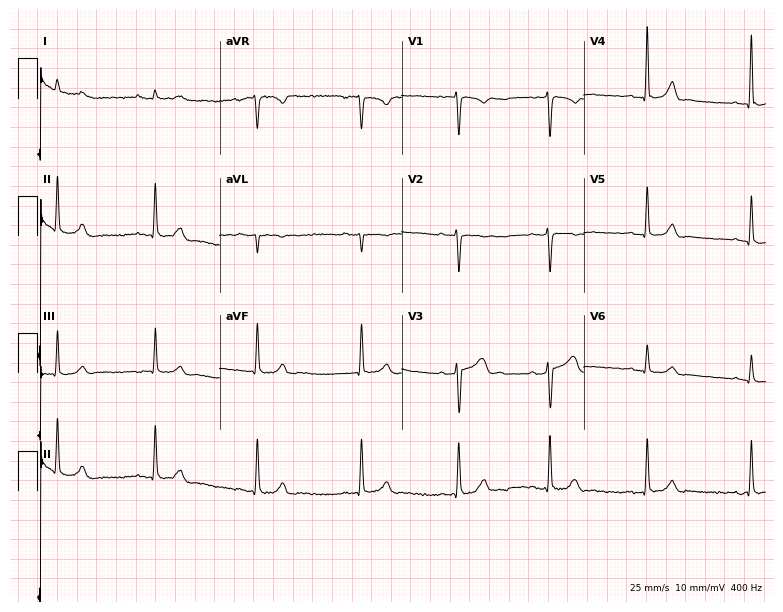
Electrocardiogram (7.4-second recording at 400 Hz), a woman, 17 years old. Of the six screened findings (first-degree AV block, right bundle branch block, left bundle branch block, sinus bradycardia, atrial fibrillation, sinus tachycardia), none is recorded. Other findings, if any, are not listed.